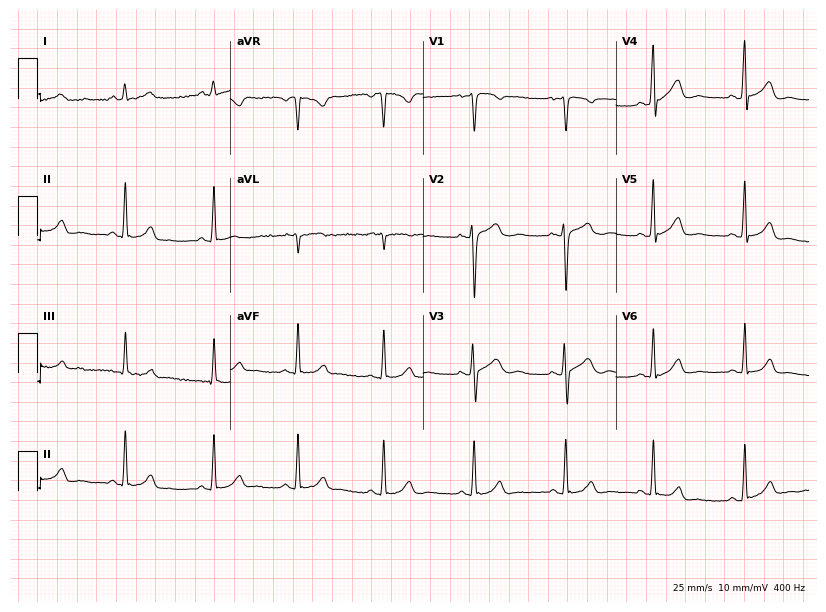
Electrocardiogram (7.9-second recording at 400 Hz), a female patient, 18 years old. Overall reading on record: normal ECG.